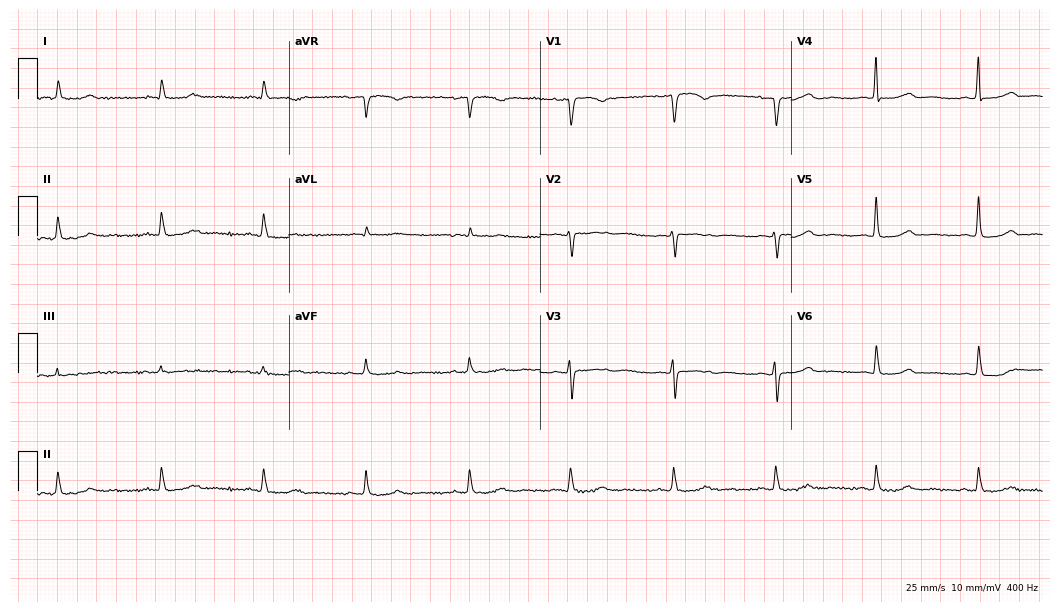
Standard 12-lead ECG recorded from a 69-year-old female patient. Read as a normal ECG.